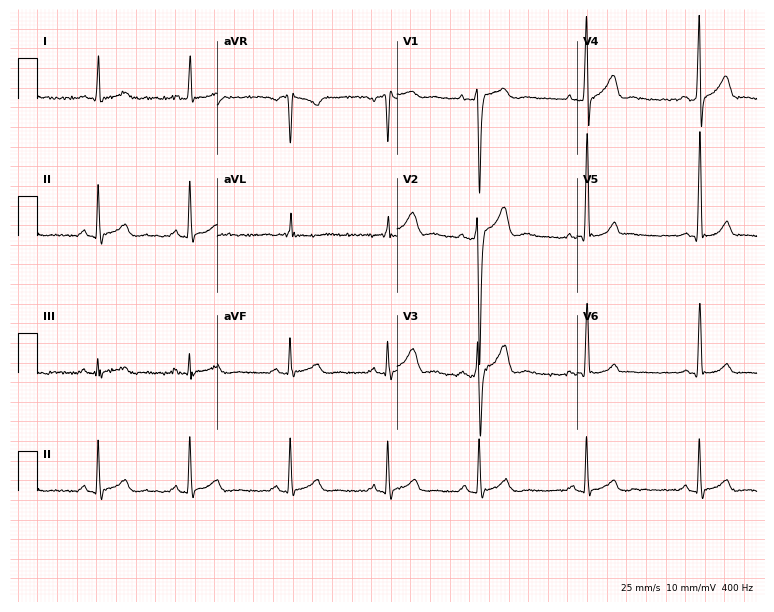
Electrocardiogram (7.3-second recording at 400 Hz), a 19-year-old man. Of the six screened findings (first-degree AV block, right bundle branch block, left bundle branch block, sinus bradycardia, atrial fibrillation, sinus tachycardia), none is recorded. Other findings, if any, are not listed.